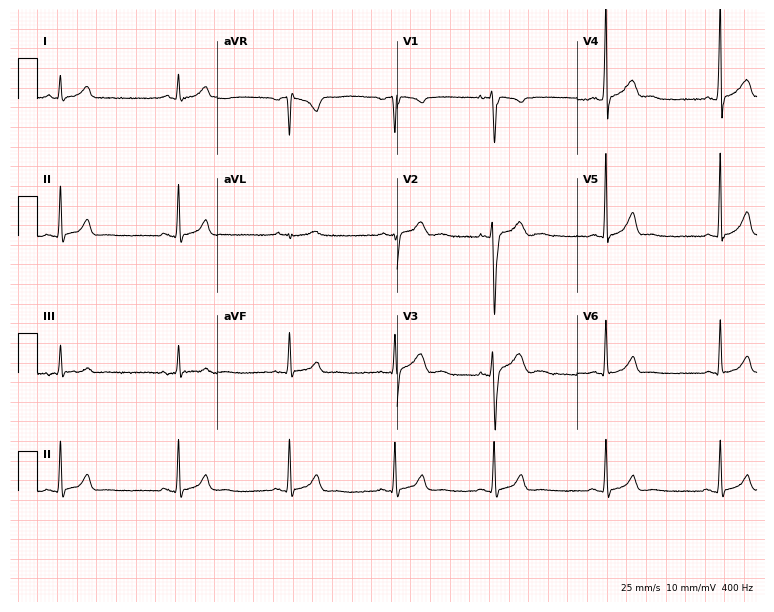
Standard 12-lead ECG recorded from a 17-year-old male patient (7.3-second recording at 400 Hz). Read as a normal ECG.